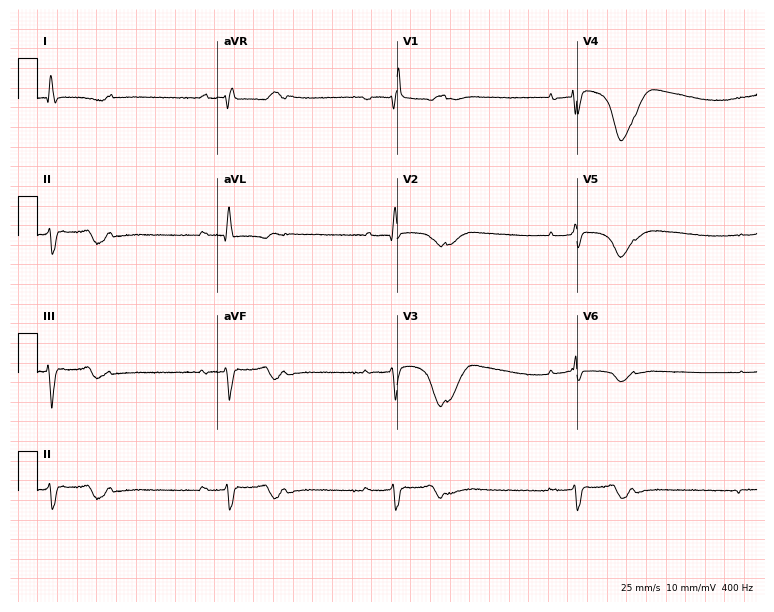
ECG (7.3-second recording at 400 Hz) — a 40-year-old woman. Screened for six findings — first-degree AV block, right bundle branch block, left bundle branch block, sinus bradycardia, atrial fibrillation, sinus tachycardia — none is recorded.